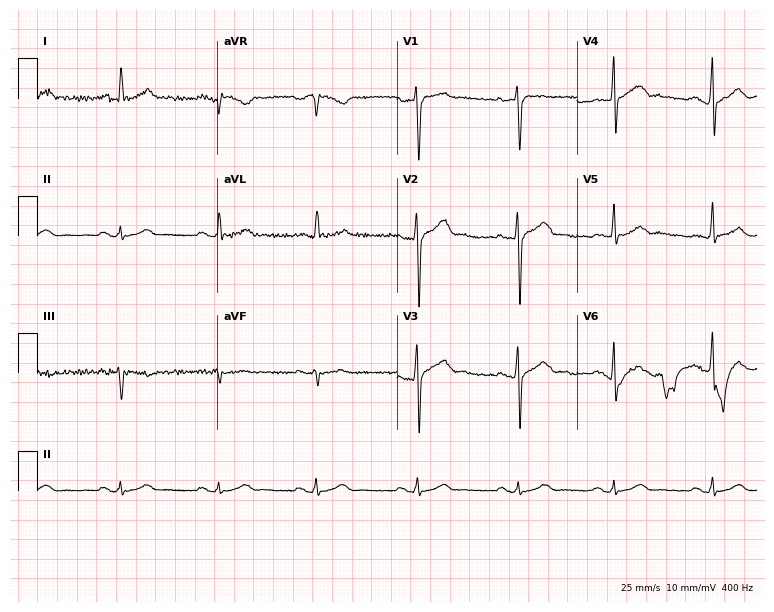
Electrocardiogram, a 53-year-old male. Of the six screened findings (first-degree AV block, right bundle branch block, left bundle branch block, sinus bradycardia, atrial fibrillation, sinus tachycardia), none is recorded. Findings outside these six are not listed.